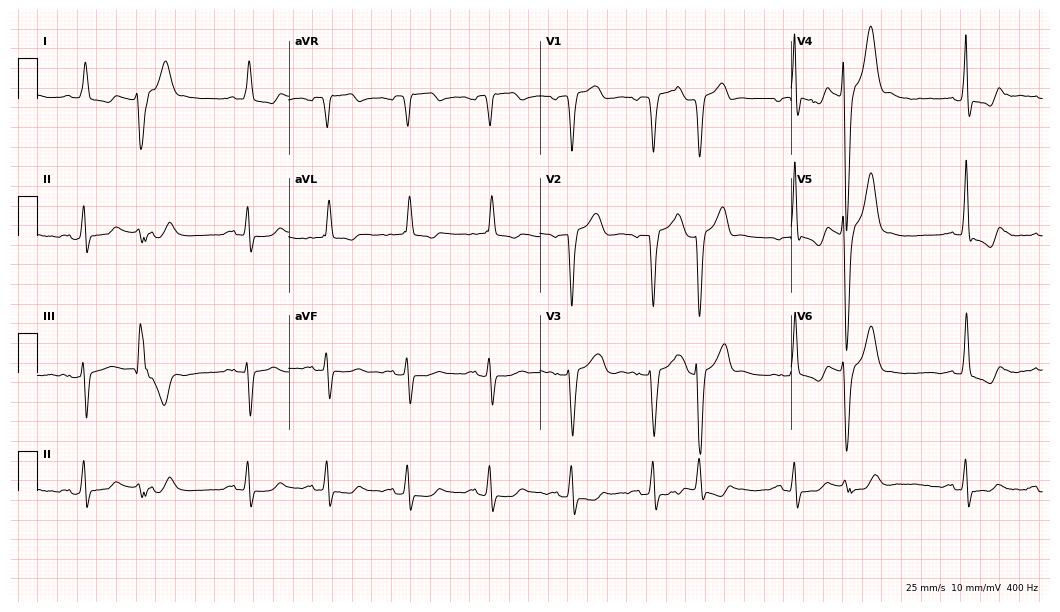
Standard 12-lead ECG recorded from an 82-year-old female patient. The tracing shows left bundle branch block.